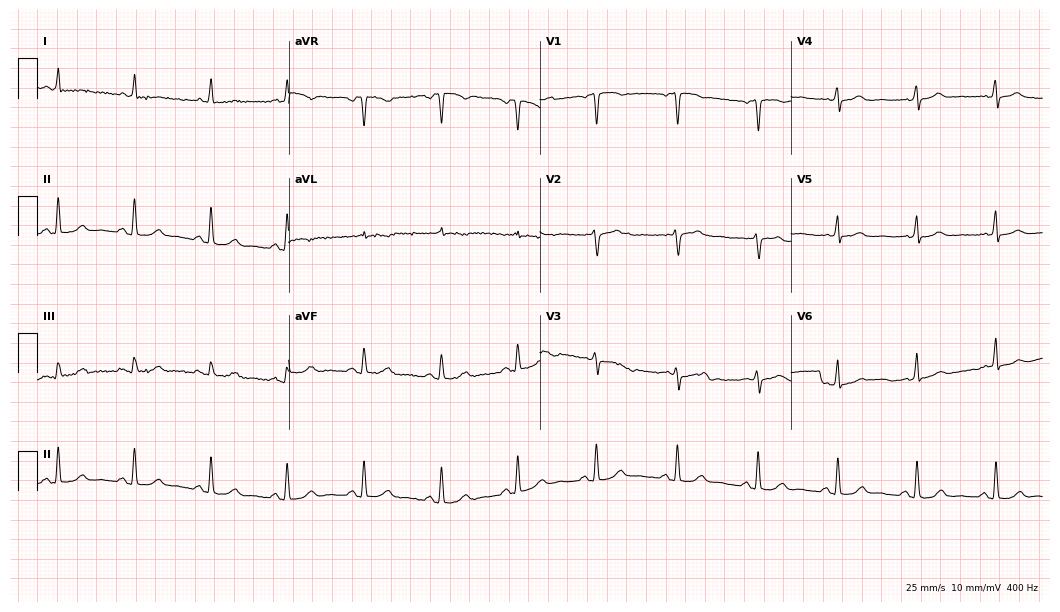
12-lead ECG from a 47-year-old male patient. Screened for six findings — first-degree AV block, right bundle branch block, left bundle branch block, sinus bradycardia, atrial fibrillation, sinus tachycardia — none is recorded.